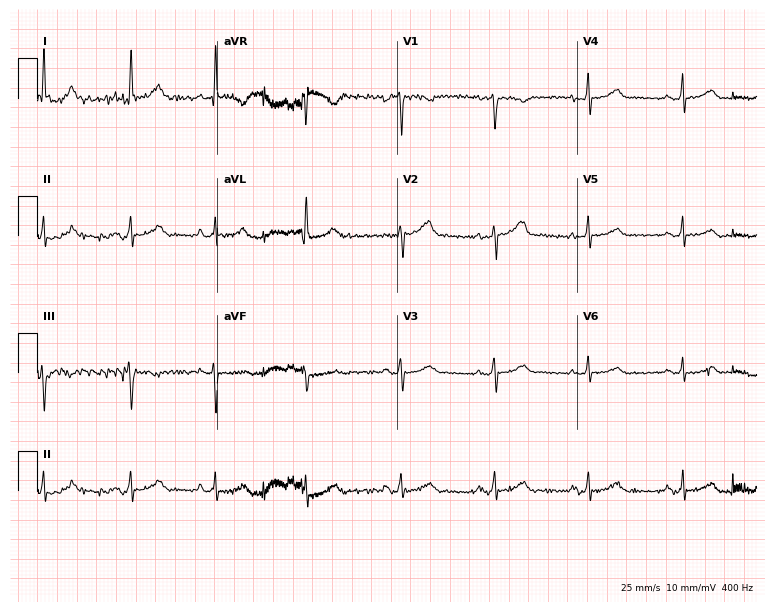
12-lead ECG from a female patient, 53 years old. No first-degree AV block, right bundle branch block, left bundle branch block, sinus bradycardia, atrial fibrillation or sinus tachycardia recorded for this tracing.